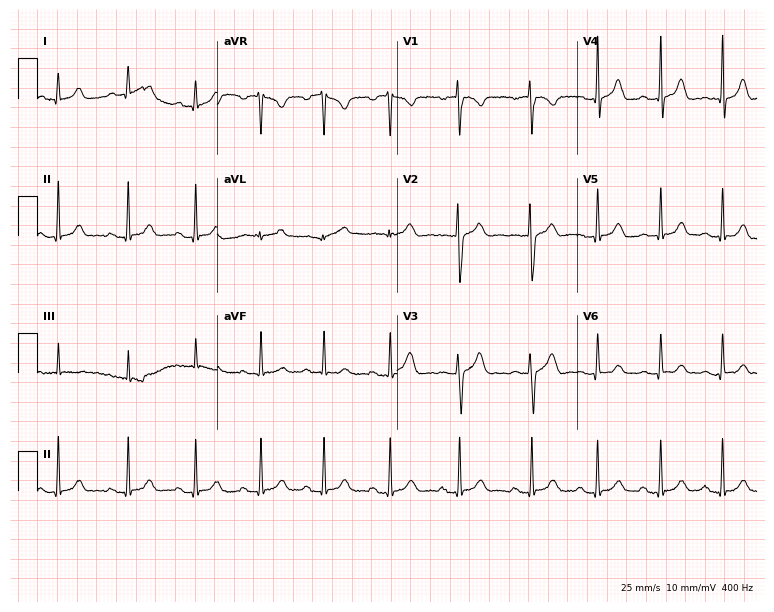
12-lead ECG (7.3-second recording at 400 Hz) from a 21-year-old female patient. Labelled as a normal ECG.